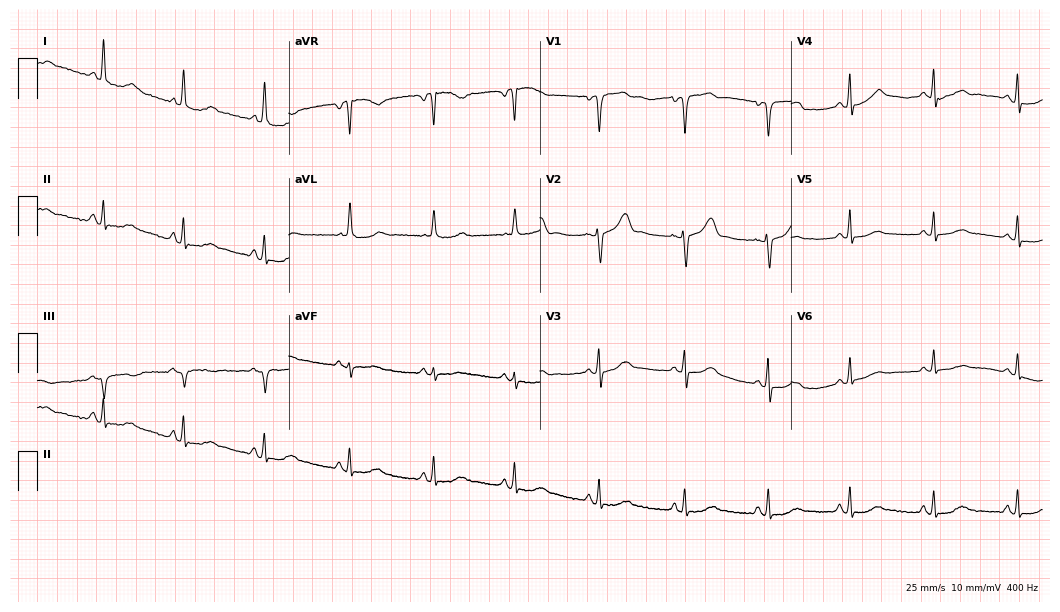
12-lead ECG from a female patient, 70 years old. Labelled as a normal ECG.